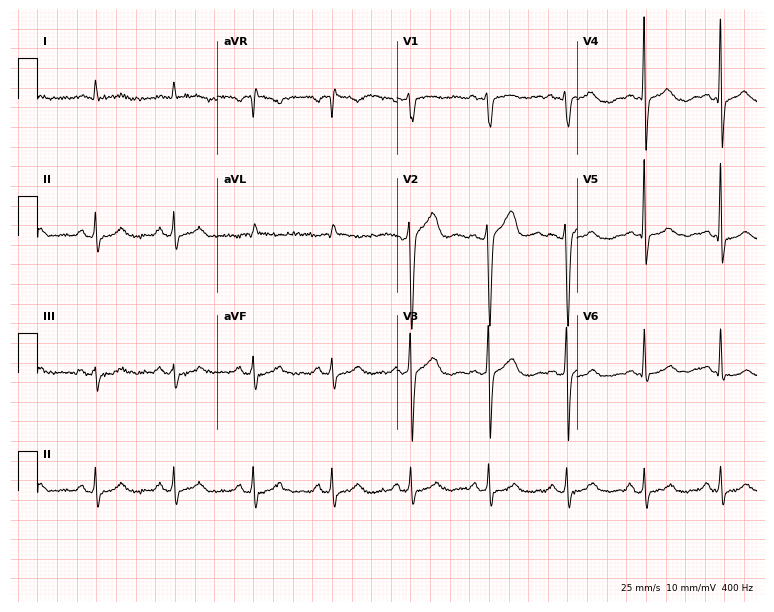
Electrocardiogram, a 67-year-old man. Overall reading on record: normal ECG.